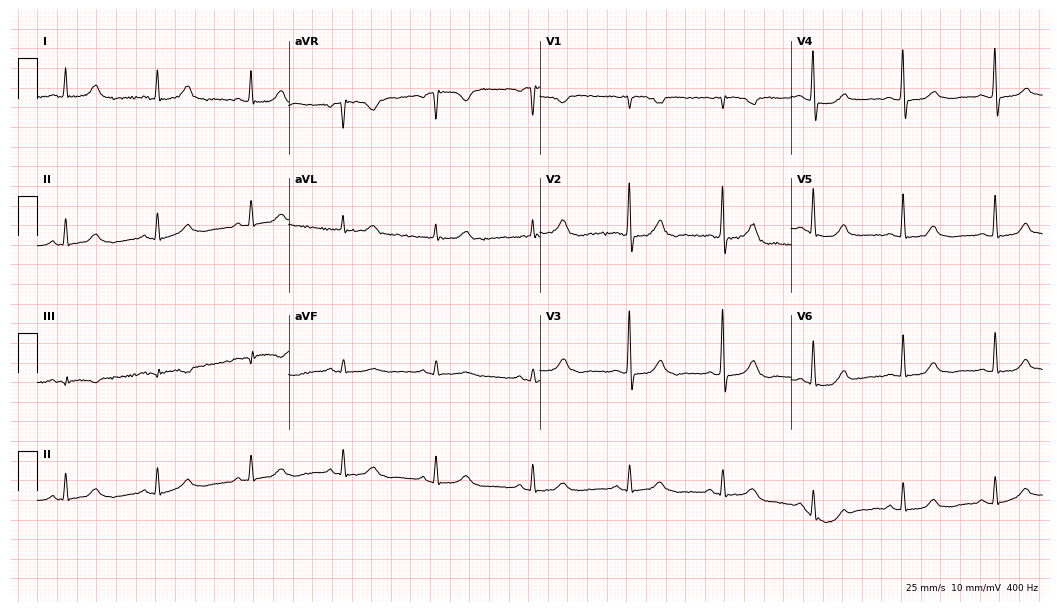
12-lead ECG (10.2-second recording at 400 Hz) from a 63-year-old woman. Labelled as a normal ECG.